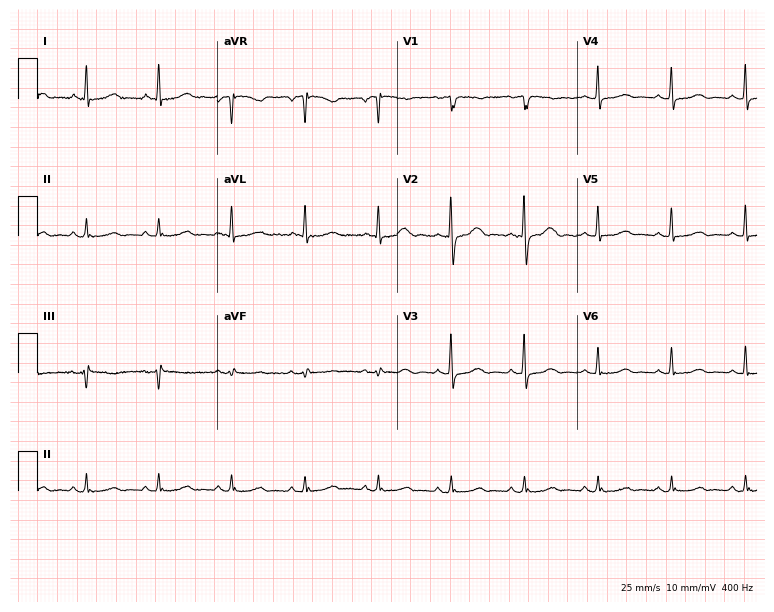
Resting 12-lead electrocardiogram (7.3-second recording at 400 Hz). Patient: a 77-year-old female. None of these six findings is recorded: first-degree AV block, right bundle branch block (RBBB), left bundle branch block (LBBB), sinus bradycardia, atrial fibrillation (AF), sinus tachycardia.